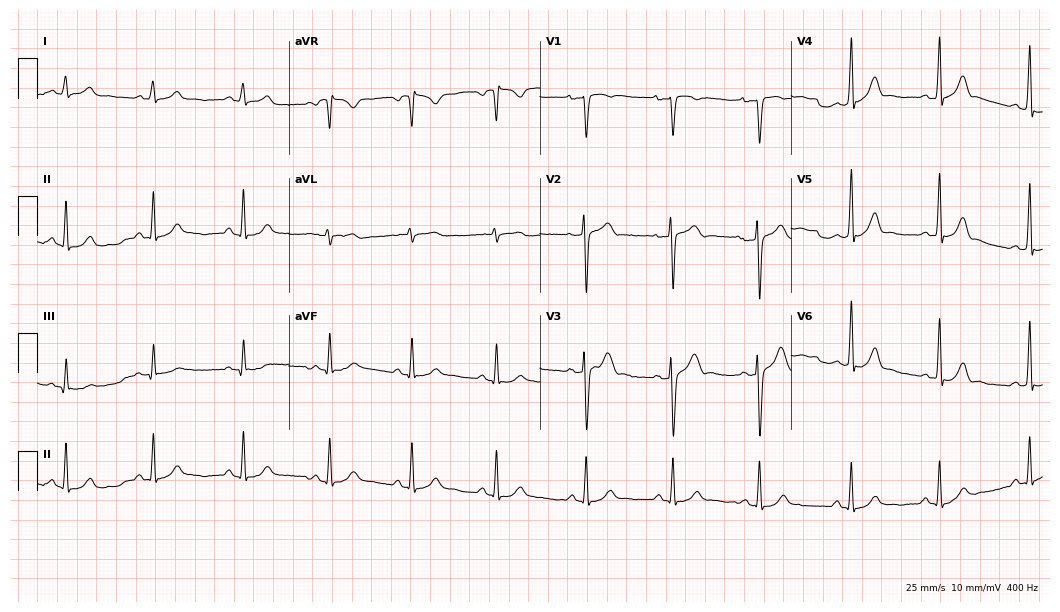
ECG (10.2-second recording at 400 Hz) — a 24-year-old male patient. Screened for six findings — first-degree AV block, right bundle branch block (RBBB), left bundle branch block (LBBB), sinus bradycardia, atrial fibrillation (AF), sinus tachycardia — none is recorded.